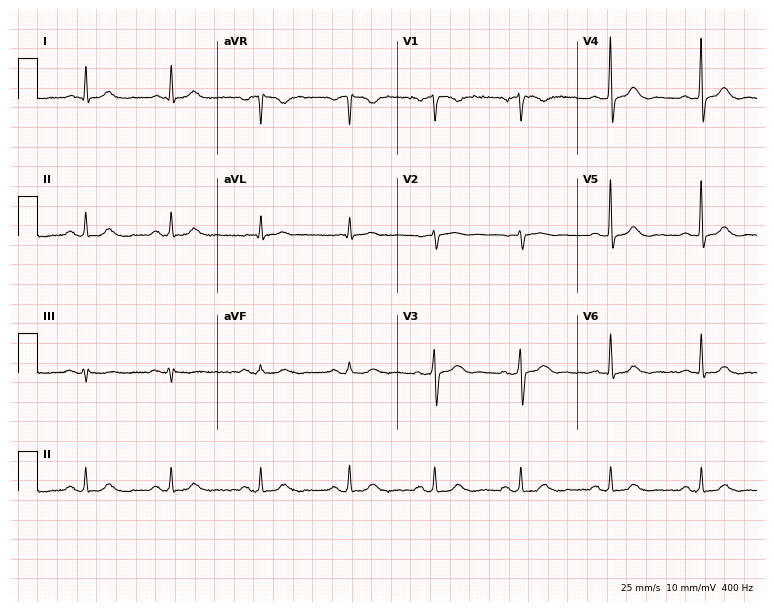
12-lead ECG from a male patient, 61 years old. Recorded interpretation: within normal limits.